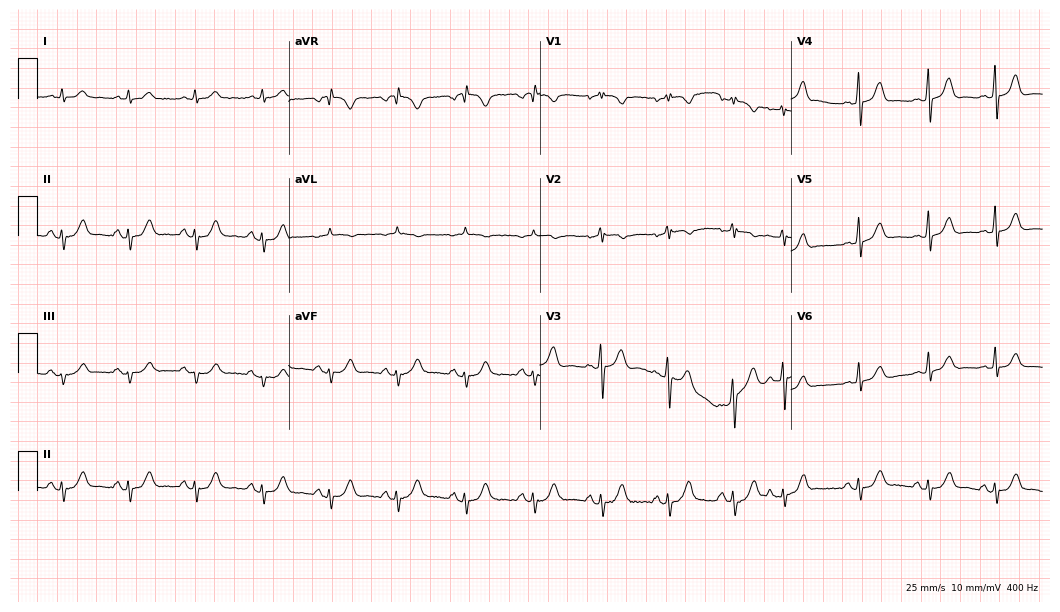
ECG — a man, 68 years old. Labelled as a normal ECG.